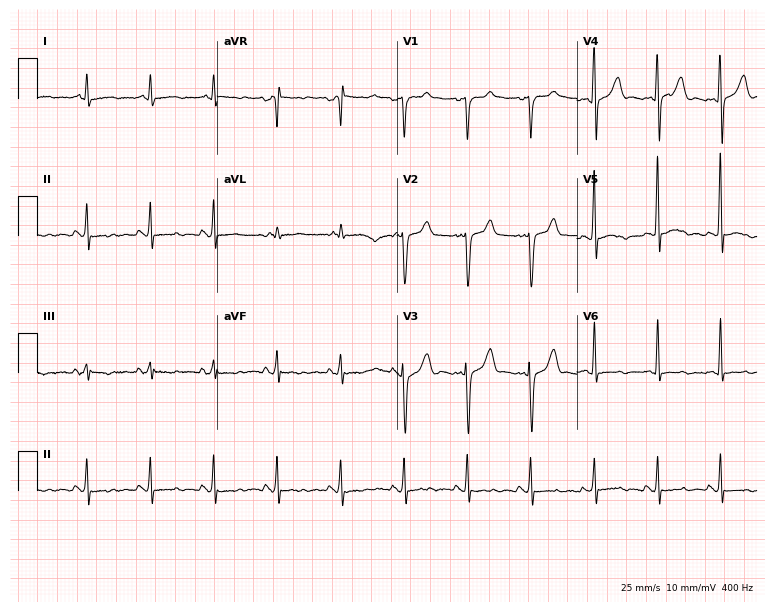
Electrocardiogram (7.3-second recording at 400 Hz), a 49-year-old male. Of the six screened findings (first-degree AV block, right bundle branch block, left bundle branch block, sinus bradycardia, atrial fibrillation, sinus tachycardia), none is recorded. Other findings, if any, are not listed.